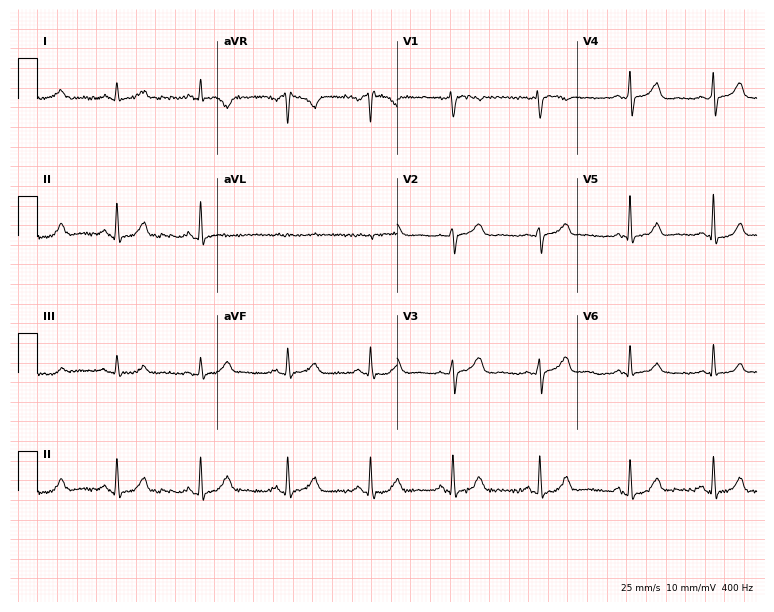
12-lead ECG from a 45-year-old woman (7.3-second recording at 400 Hz). Recorded interpretation: within normal limits.